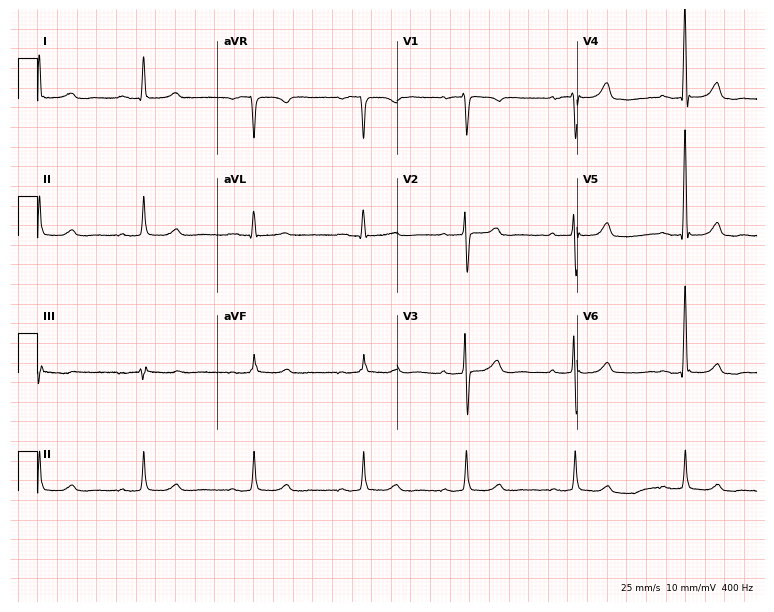
Resting 12-lead electrocardiogram. Patient: a female, 66 years old. The tracing shows first-degree AV block.